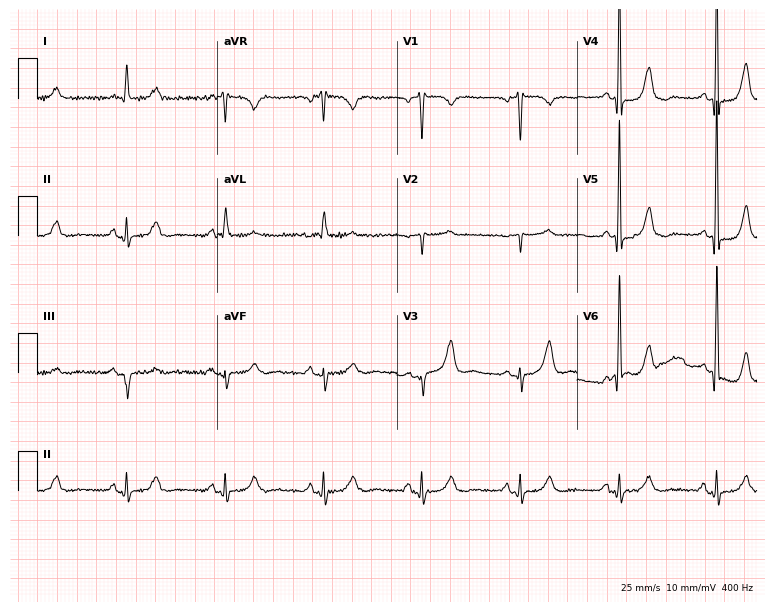
ECG — an 82-year-old woman. Screened for six findings — first-degree AV block, right bundle branch block, left bundle branch block, sinus bradycardia, atrial fibrillation, sinus tachycardia — none is recorded.